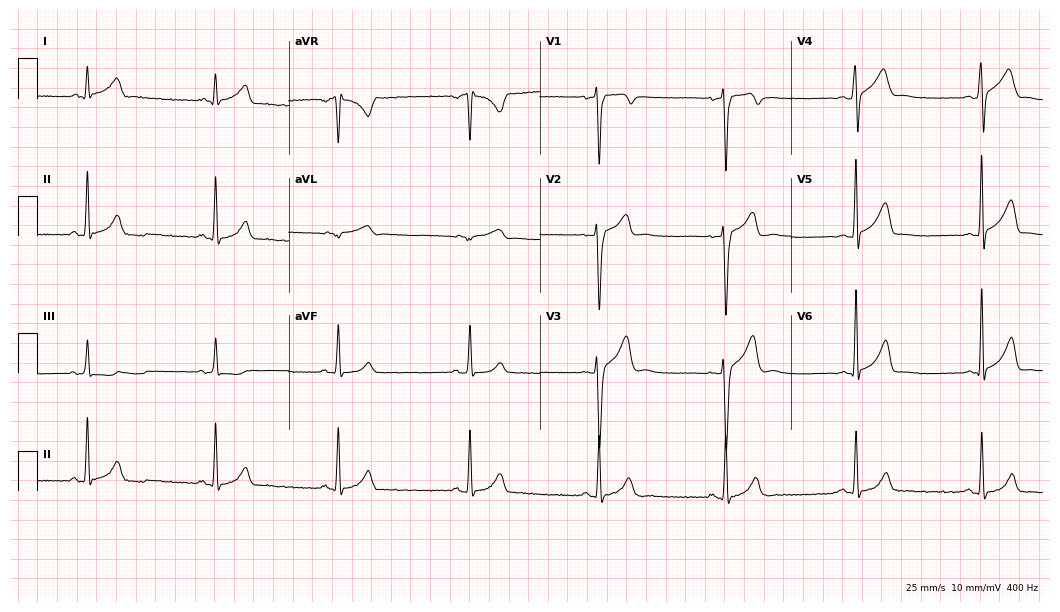
12-lead ECG from a male, 26 years old. Shows sinus bradycardia (a sinus rate of 50 beats per minute or less).